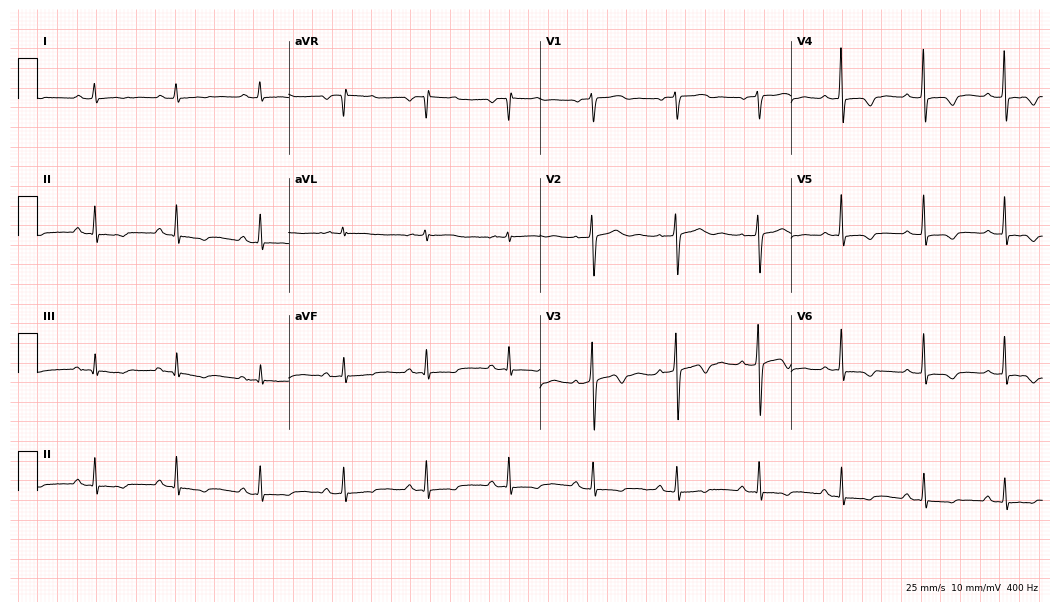
12-lead ECG from a woman, 69 years old. No first-degree AV block, right bundle branch block (RBBB), left bundle branch block (LBBB), sinus bradycardia, atrial fibrillation (AF) or sinus tachycardia recorded for this tracing.